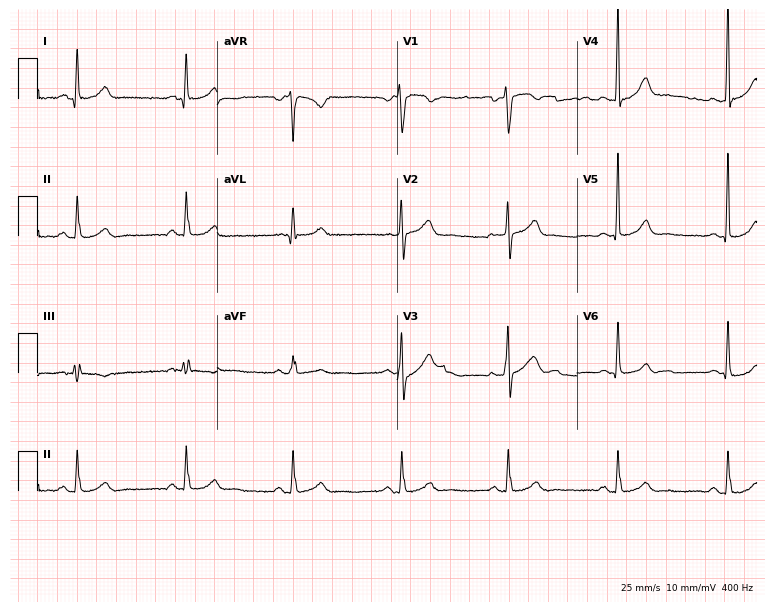
Electrocardiogram, a male patient, 53 years old. Overall reading on record: normal ECG.